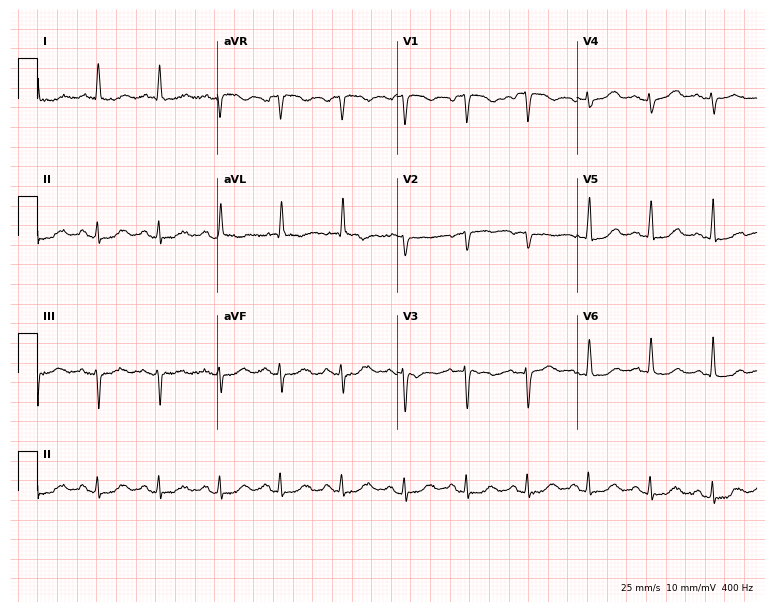
ECG (7.3-second recording at 400 Hz) — a female, 81 years old. Screened for six findings — first-degree AV block, right bundle branch block (RBBB), left bundle branch block (LBBB), sinus bradycardia, atrial fibrillation (AF), sinus tachycardia — none is recorded.